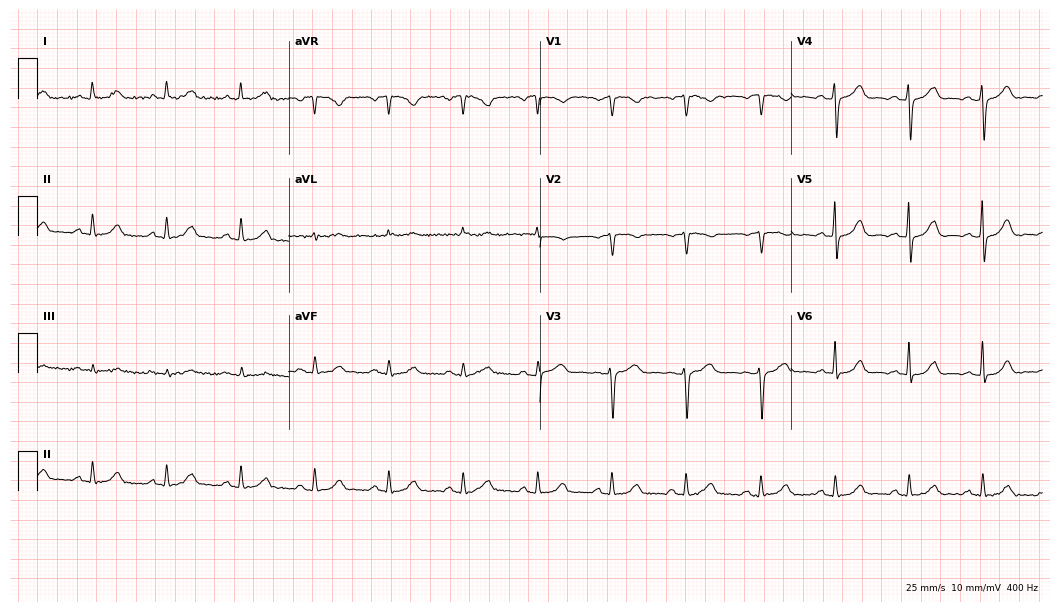
Electrocardiogram, a 60-year-old female. Of the six screened findings (first-degree AV block, right bundle branch block, left bundle branch block, sinus bradycardia, atrial fibrillation, sinus tachycardia), none is recorded. Other findings, if any, are not listed.